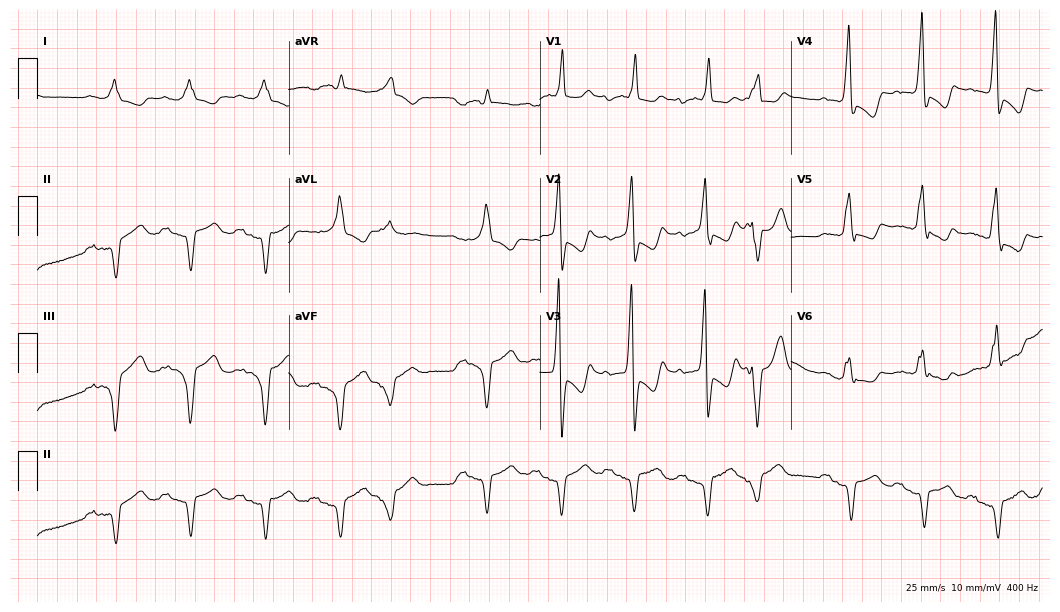
ECG — a male patient, 80 years old. Screened for six findings — first-degree AV block, right bundle branch block (RBBB), left bundle branch block (LBBB), sinus bradycardia, atrial fibrillation (AF), sinus tachycardia — none is recorded. Other findings, if any, are not listed.